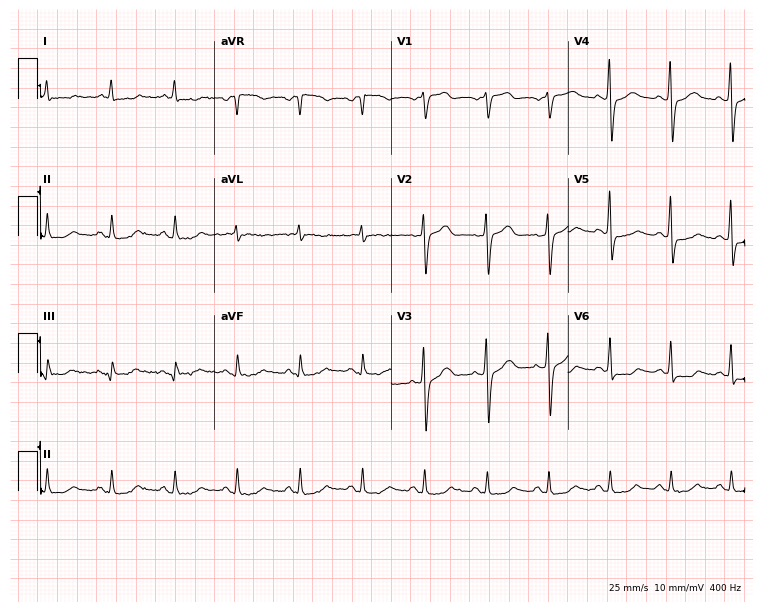
Electrocardiogram (7.2-second recording at 400 Hz), a woman, 76 years old. Of the six screened findings (first-degree AV block, right bundle branch block, left bundle branch block, sinus bradycardia, atrial fibrillation, sinus tachycardia), none is recorded.